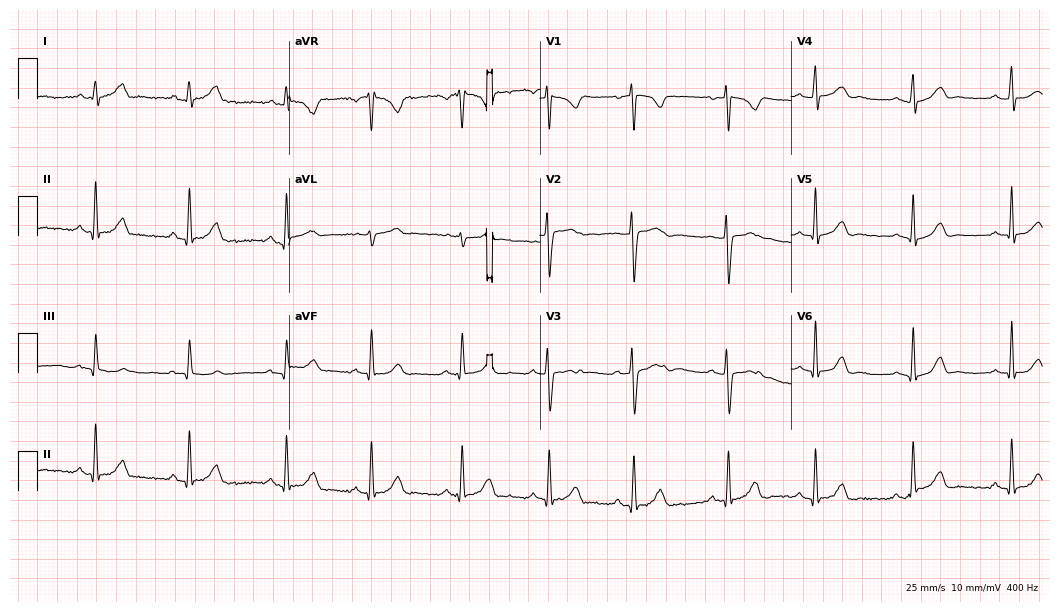
Resting 12-lead electrocardiogram. Patient: a 21-year-old female. Read as a normal ECG.